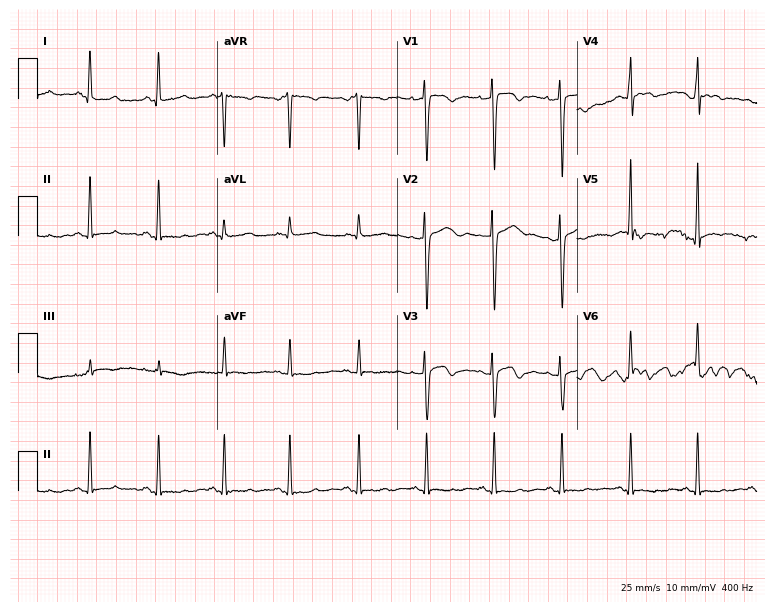
Standard 12-lead ECG recorded from a female patient, 38 years old. None of these six findings is recorded: first-degree AV block, right bundle branch block, left bundle branch block, sinus bradycardia, atrial fibrillation, sinus tachycardia.